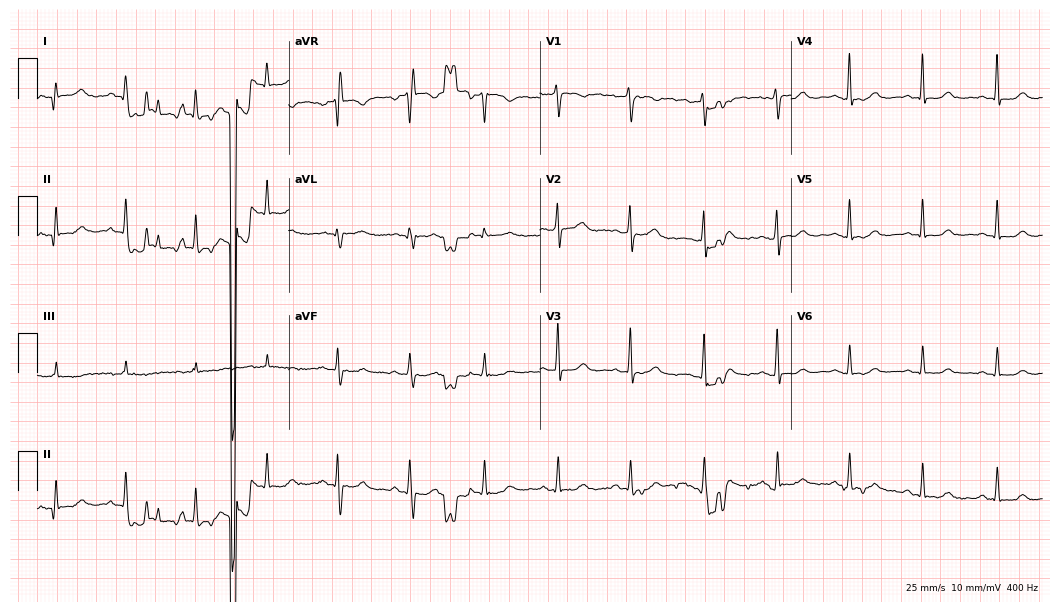
12-lead ECG from a female, 49 years old. Labelled as a normal ECG.